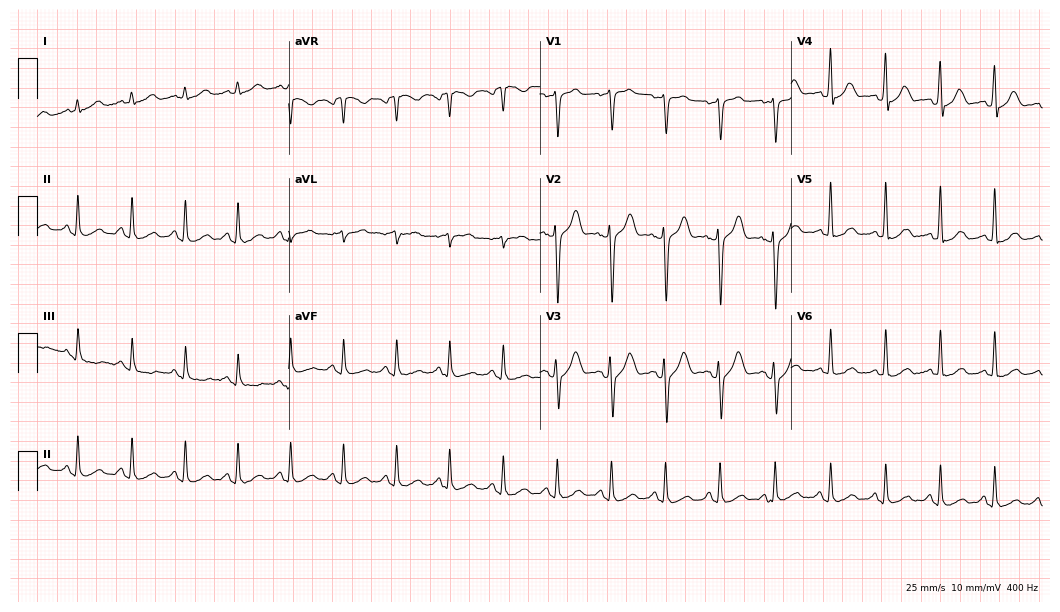
12-lead ECG from a male, 42 years old. Findings include sinus tachycardia (a sinus rate of 100 beats per minute or more).